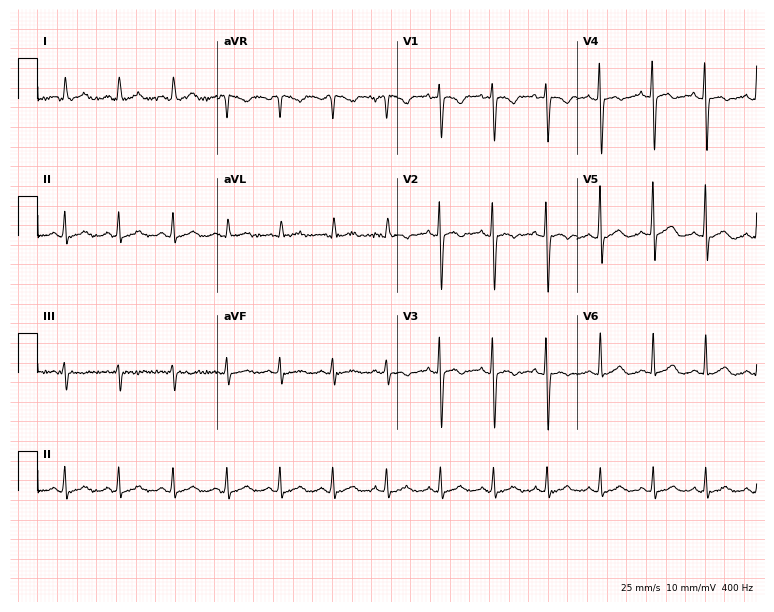
Standard 12-lead ECG recorded from a 46-year-old female. The tracing shows sinus tachycardia (a sinus rate of 100 beats per minute or more).